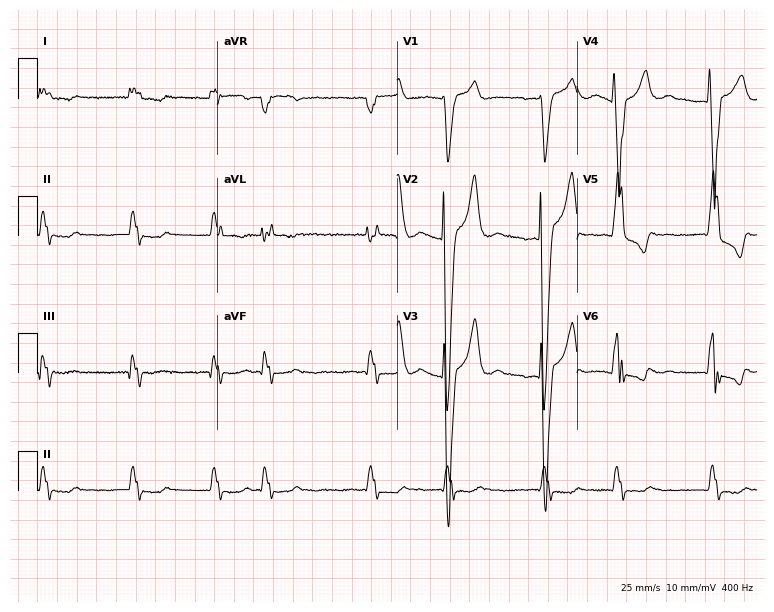
12-lead ECG from a 78-year-old female (7.3-second recording at 400 Hz). Shows left bundle branch block (LBBB), atrial fibrillation (AF).